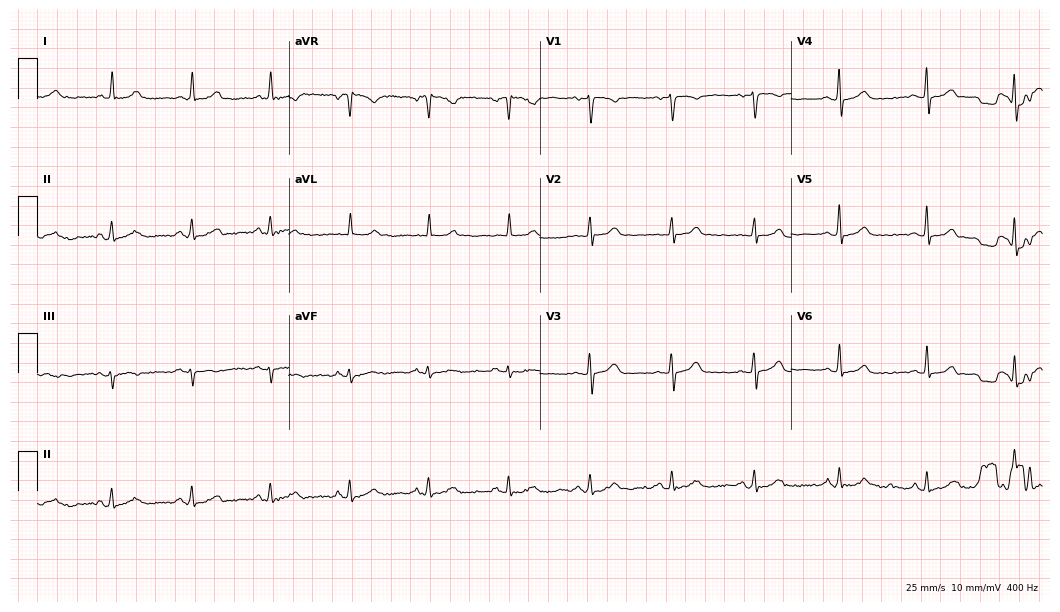
ECG (10.2-second recording at 400 Hz) — a 66-year-old woman. Labelled as a normal ECG.